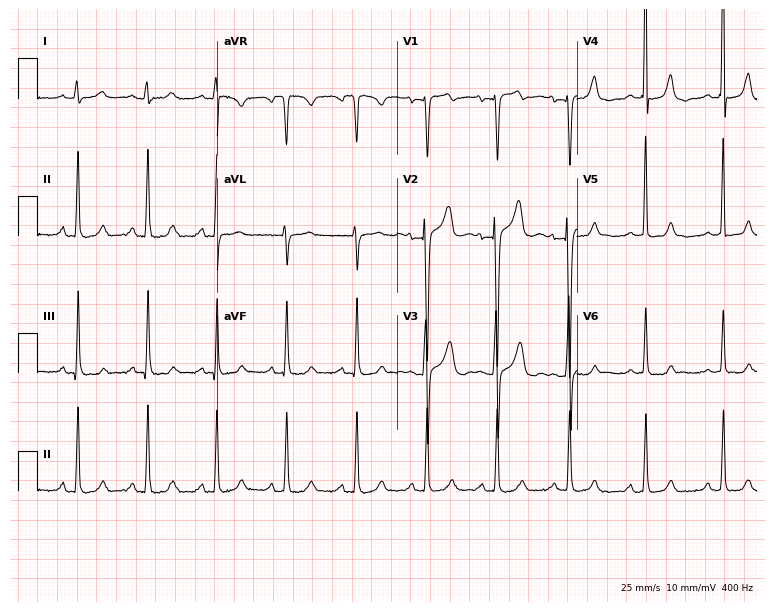
Resting 12-lead electrocardiogram. Patient: a 38-year-old male. None of these six findings is recorded: first-degree AV block, right bundle branch block, left bundle branch block, sinus bradycardia, atrial fibrillation, sinus tachycardia.